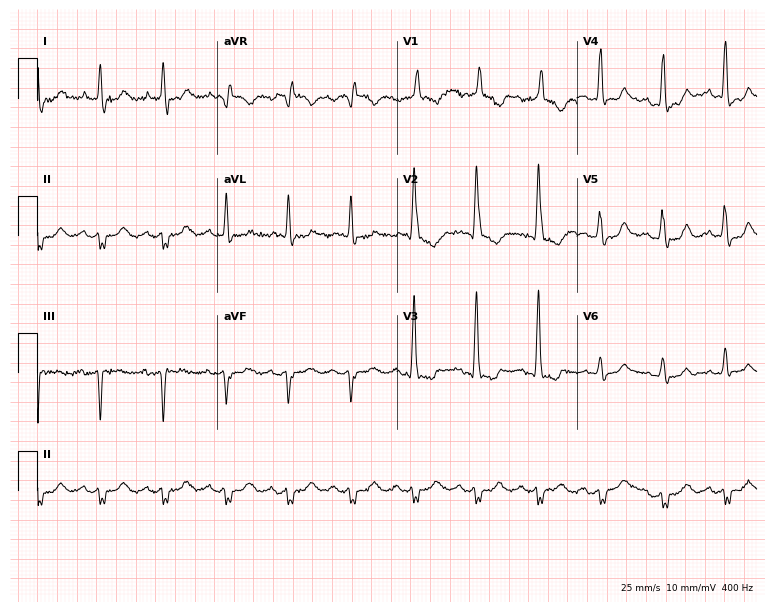
Electrocardiogram (7.3-second recording at 400 Hz), a female, 84 years old. Interpretation includes right bundle branch block.